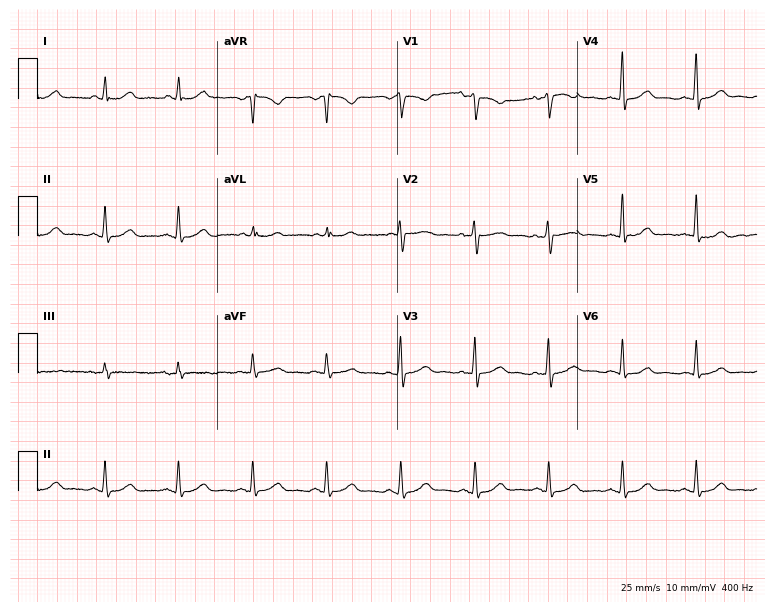
Resting 12-lead electrocardiogram. Patient: a female, 47 years old. None of these six findings is recorded: first-degree AV block, right bundle branch block (RBBB), left bundle branch block (LBBB), sinus bradycardia, atrial fibrillation (AF), sinus tachycardia.